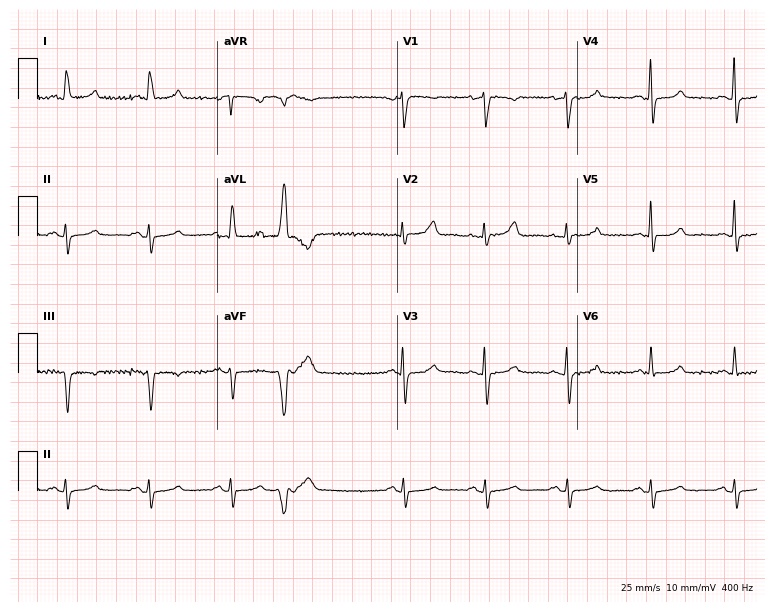
Standard 12-lead ECG recorded from a 63-year-old female patient. None of these six findings is recorded: first-degree AV block, right bundle branch block, left bundle branch block, sinus bradycardia, atrial fibrillation, sinus tachycardia. Only these six findings were labelled.